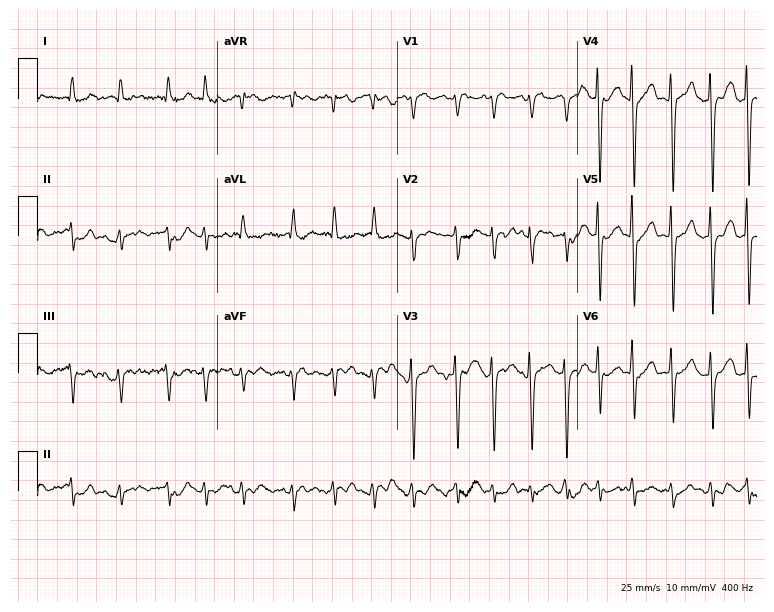
Electrocardiogram (7.3-second recording at 400 Hz), a 67-year-old female patient. Interpretation includes atrial fibrillation.